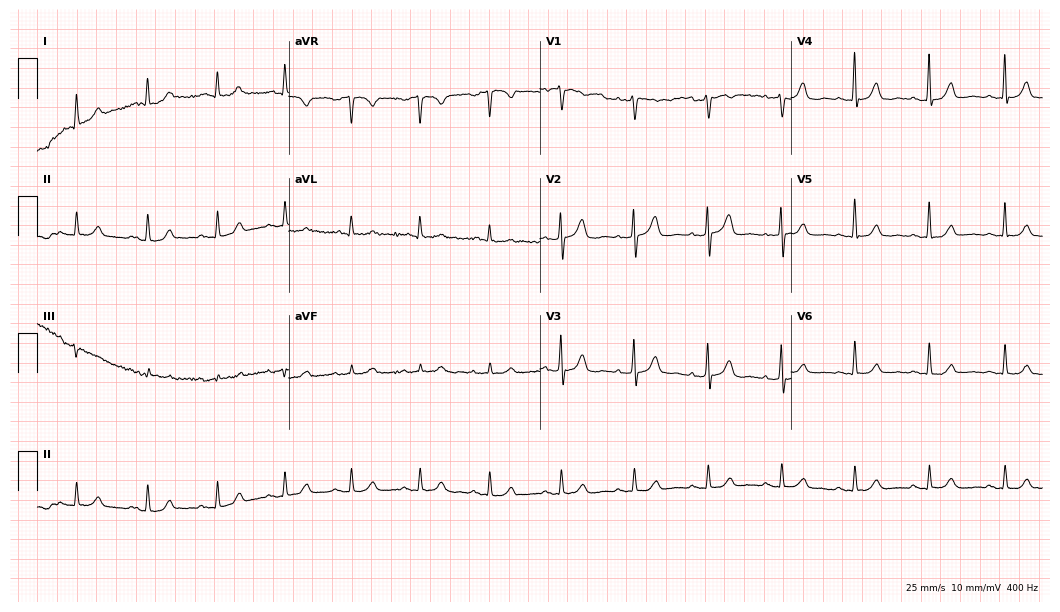
ECG — a 74-year-old female. Labelled as a normal ECG.